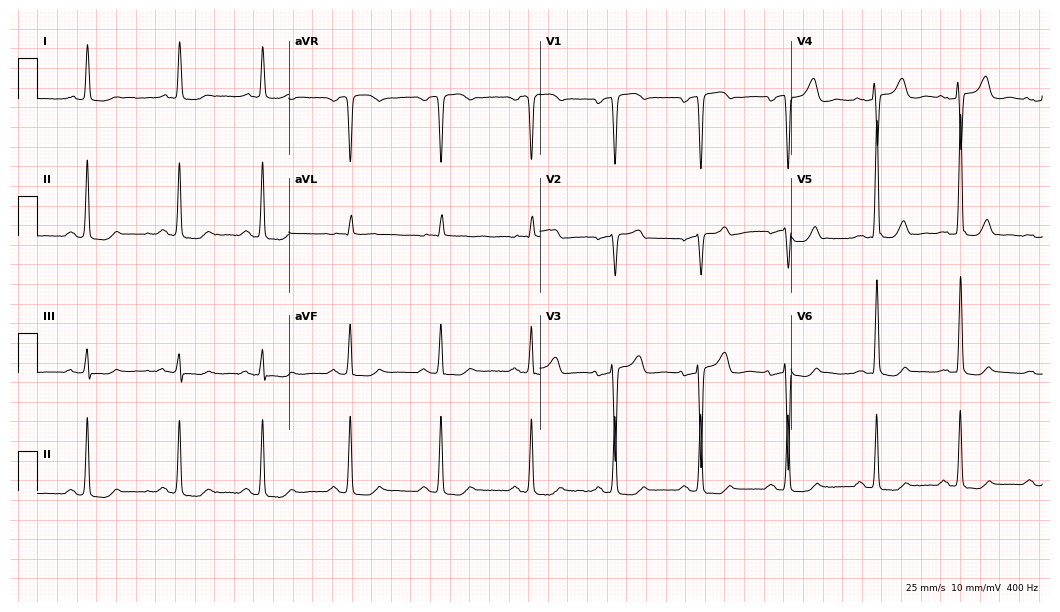
Electrocardiogram (10.2-second recording at 400 Hz), a female, 55 years old. Of the six screened findings (first-degree AV block, right bundle branch block, left bundle branch block, sinus bradycardia, atrial fibrillation, sinus tachycardia), none is recorded.